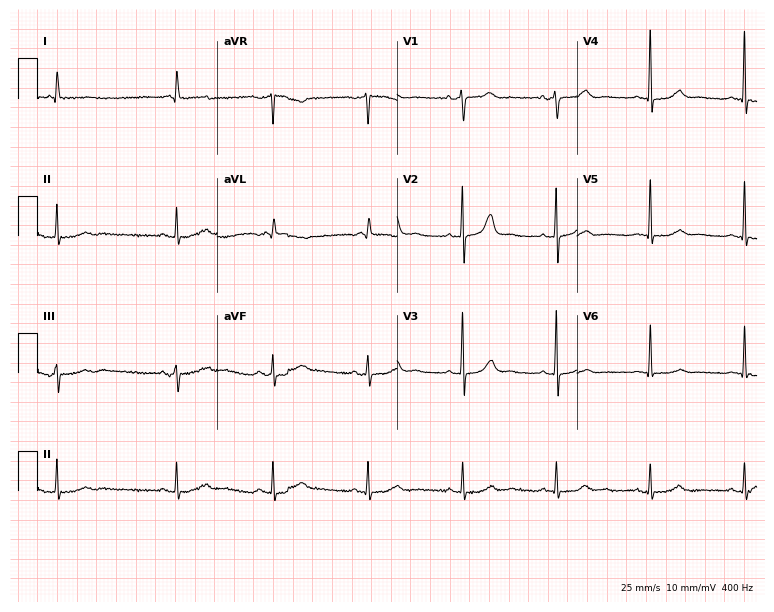
ECG — a female, 66 years old. Screened for six findings — first-degree AV block, right bundle branch block, left bundle branch block, sinus bradycardia, atrial fibrillation, sinus tachycardia — none is recorded.